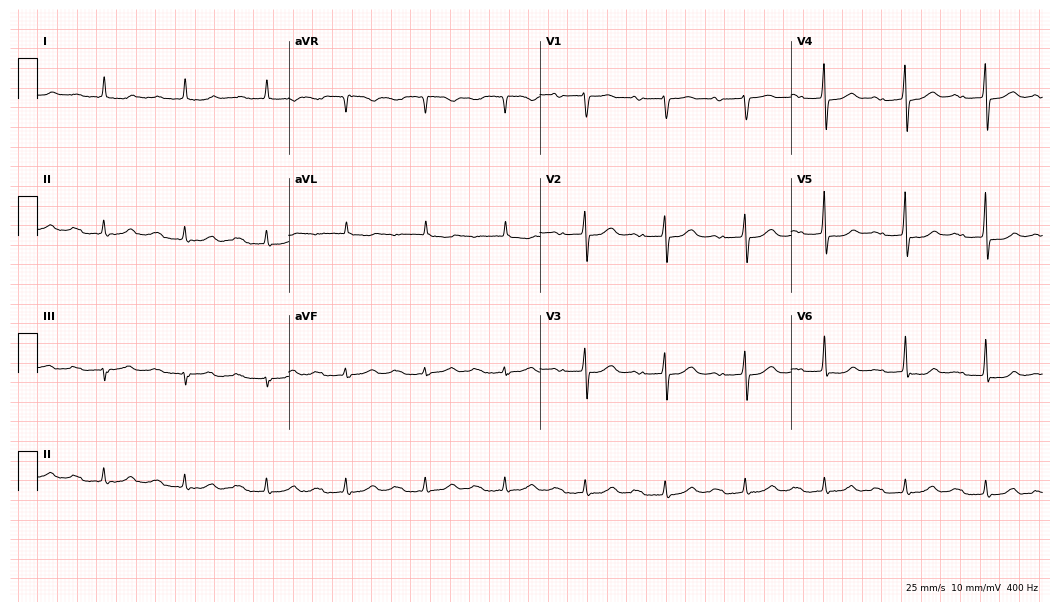
ECG — a 77-year-old male. Findings include first-degree AV block.